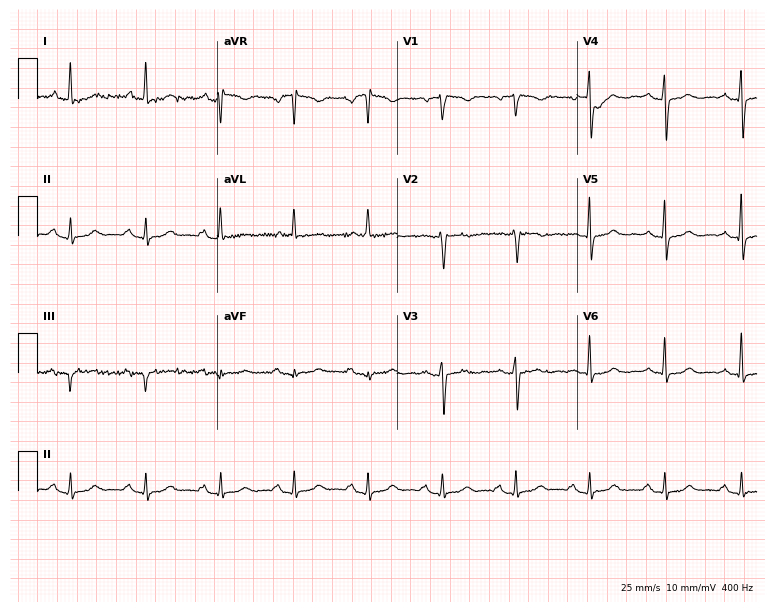
Resting 12-lead electrocardiogram (7.3-second recording at 400 Hz). Patient: a 61-year-old female. None of these six findings is recorded: first-degree AV block, right bundle branch block, left bundle branch block, sinus bradycardia, atrial fibrillation, sinus tachycardia.